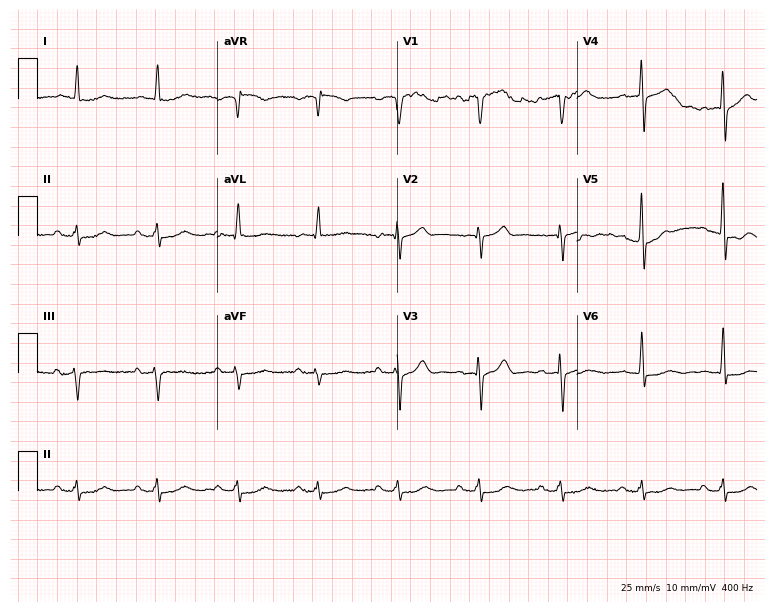
12-lead ECG from a 68-year-old male. Recorded interpretation: within normal limits.